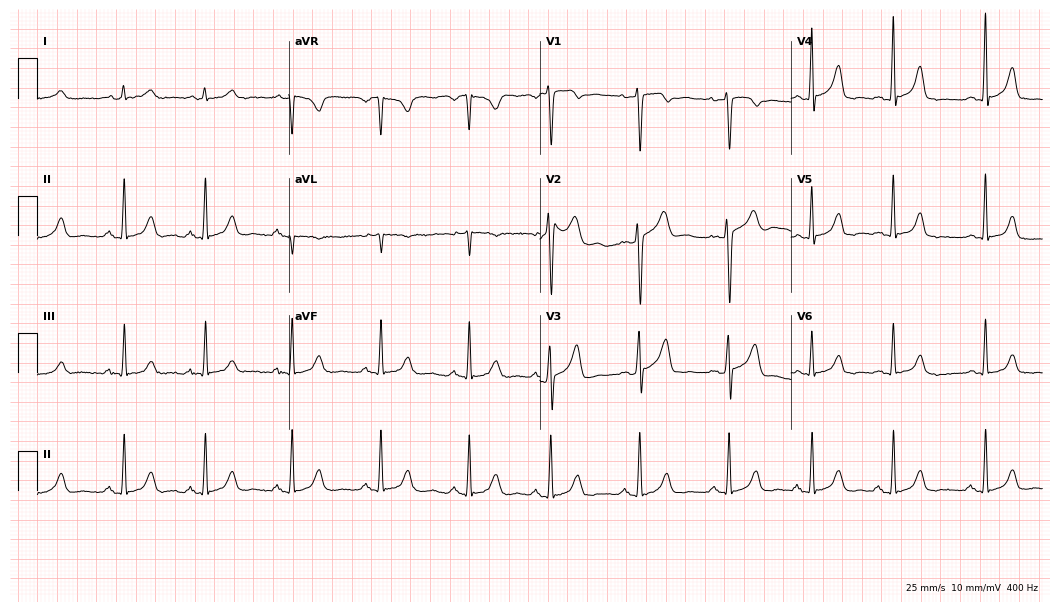
12-lead ECG (10.2-second recording at 400 Hz) from a woman, 42 years old. Labelled as a normal ECG.